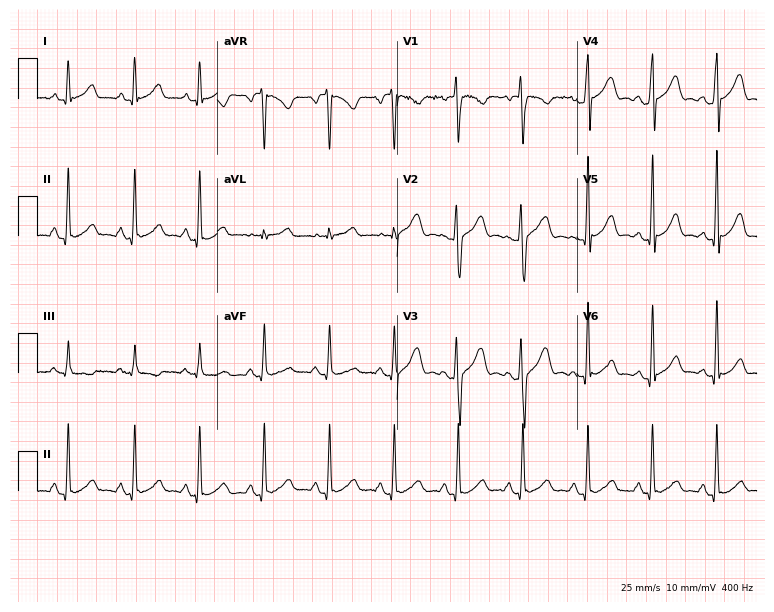
Resting 12-lead electrocardiogram (7.3-second recording at 400 Hz). Patient: a 27-year-old female. Read as a normal ECG.